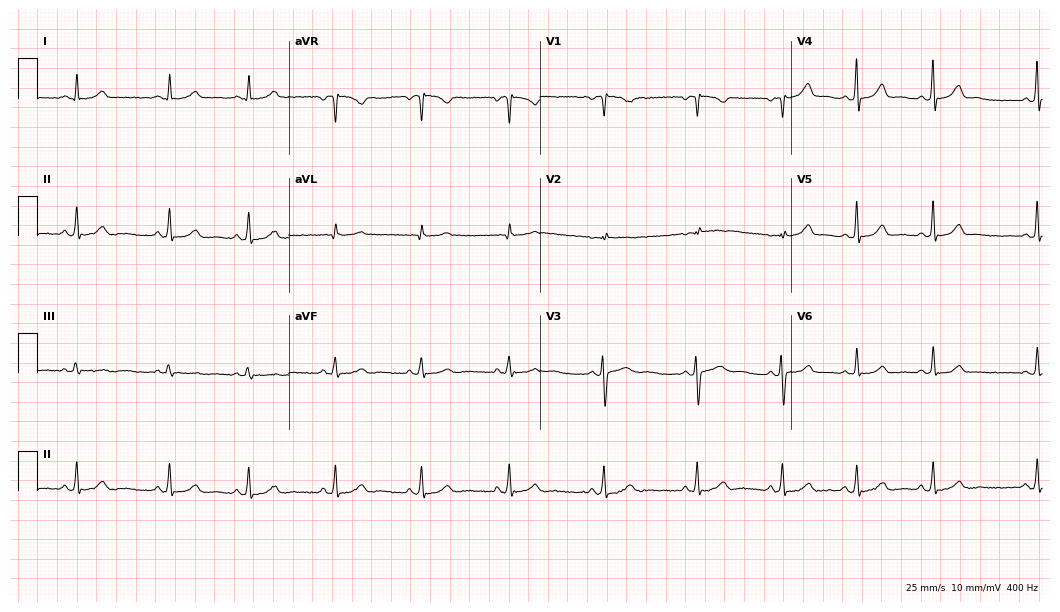
Electrocardiogram (10.2-second recording at 400 Hz), an 18-year-old female. Overall reading on record: normal ECG.